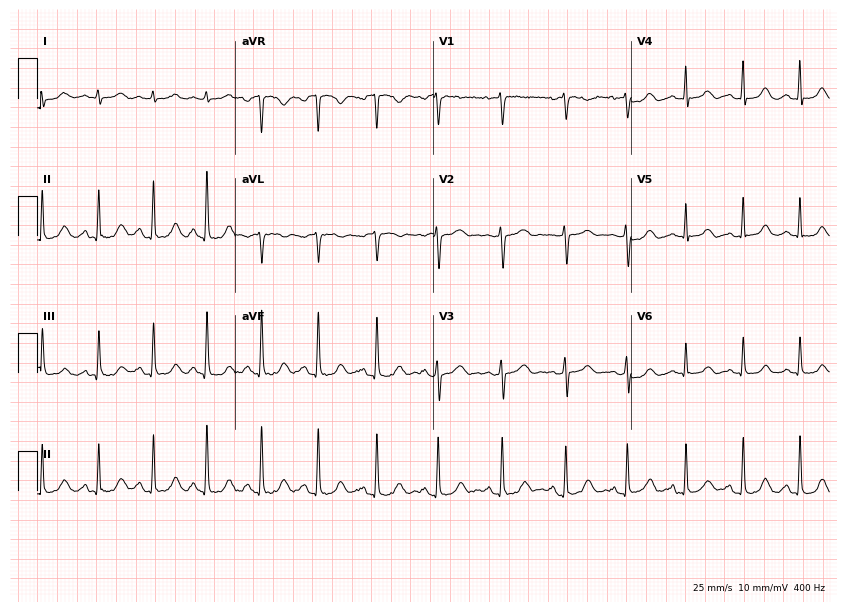
Resting 12-lead electrocardiogram. Patient: a female, 41 years old. The tracing shows sinus tachycardia (a sinus rate of 100 beats per minute or more).